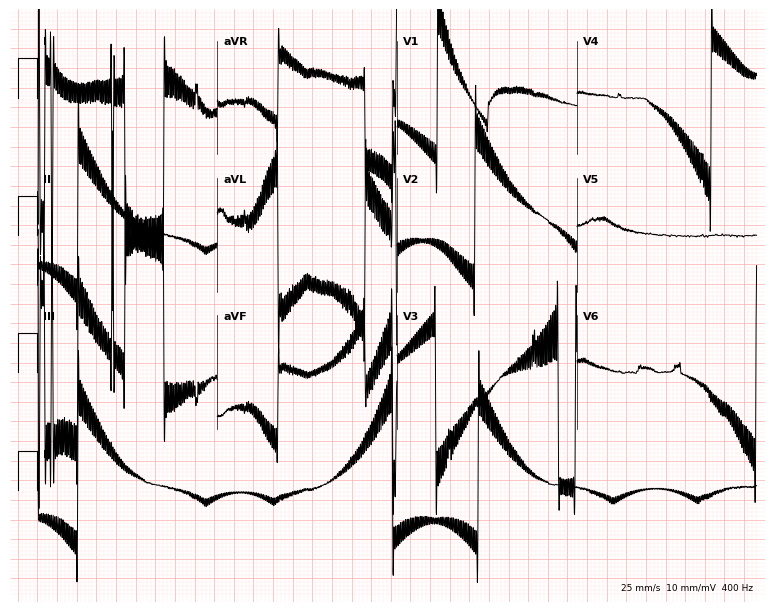
ECG — a female, 79 years old. Screened for six findings — first-degree AV block, right bundle branch block (RBBB), left bundle branch block (LBBB), sinus bradycardia, atrial fibrillation (AF), sinus tachycardia — none is recorded.